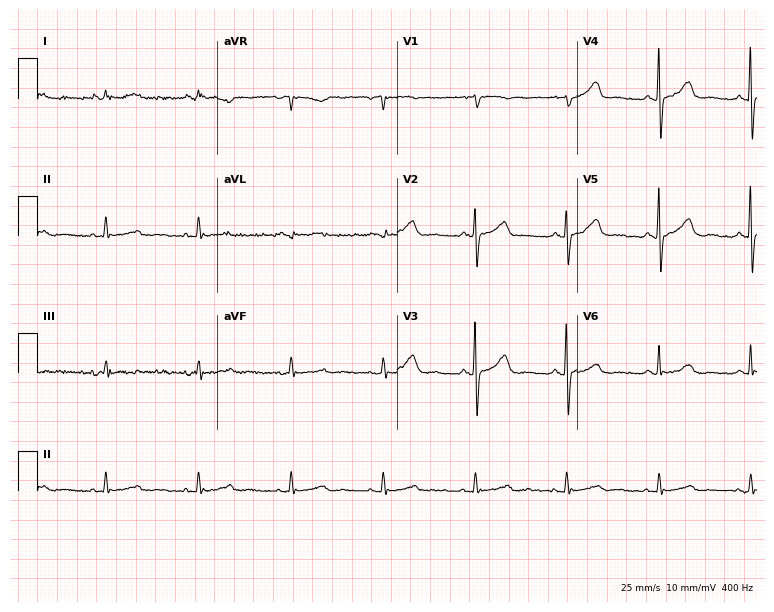
Resting 12-lead electrocardiogram. Patient: a male, 66 years old. Read as a normal ECG.